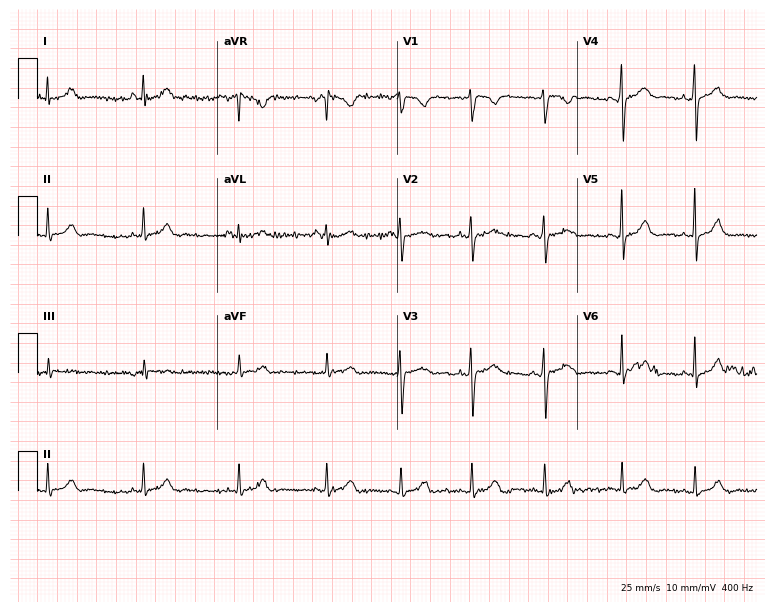
Standard 12-lead ECG recorded from a 17-year-old female (7.3-second recording at 400 Hz). Read as a normal ECG.